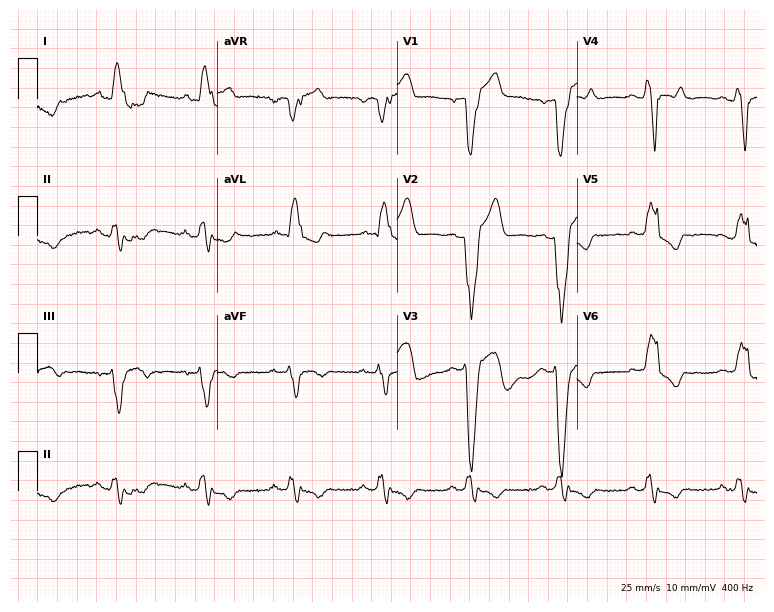
12-lead ECG (7.3-second recording at 400 Hz) from a 64-year-old man. Findings include left bundle branch block.